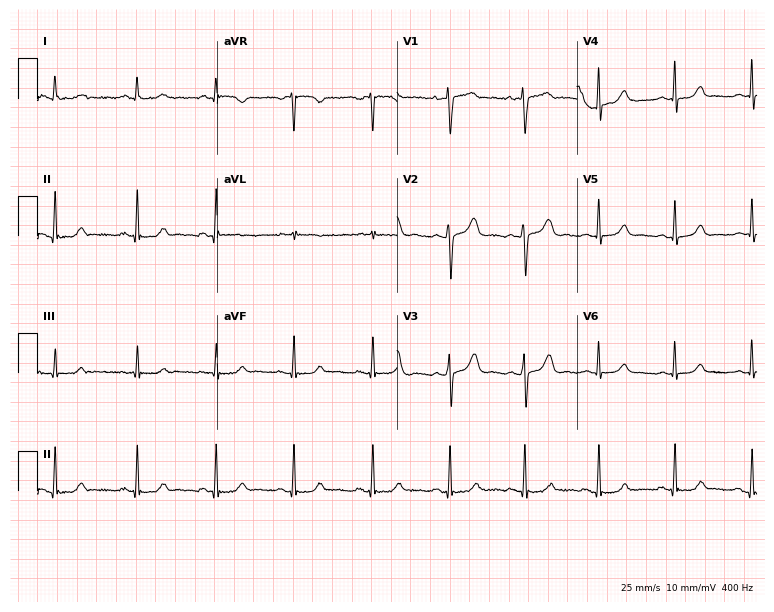
12-lead ECG (7.3-second recording at 400 Hz) from a female, 32 years old. Labelled as a normal ECG.